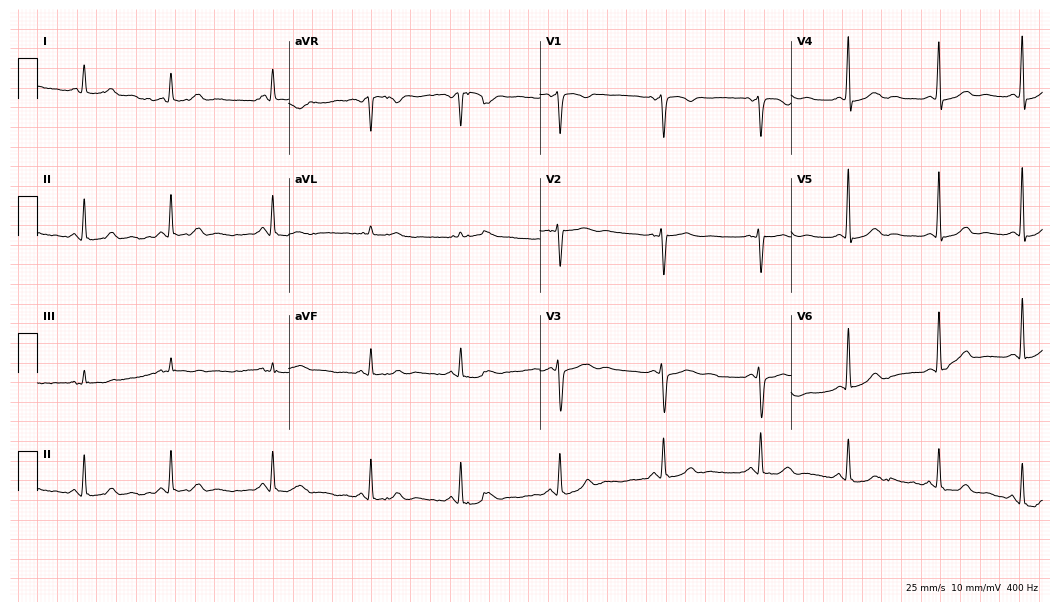
Resting 12-lead electrocardiogram (10.2-second recording at 400 Hz). Patient: a 37-year-old woman. None of these six findings is recorded: first-degree AV block, right bundle branch block, left bundle branch block, sinus bradycardia, atrial fibrillation, sinus tachycardia. Other findings, if any, are not listed.